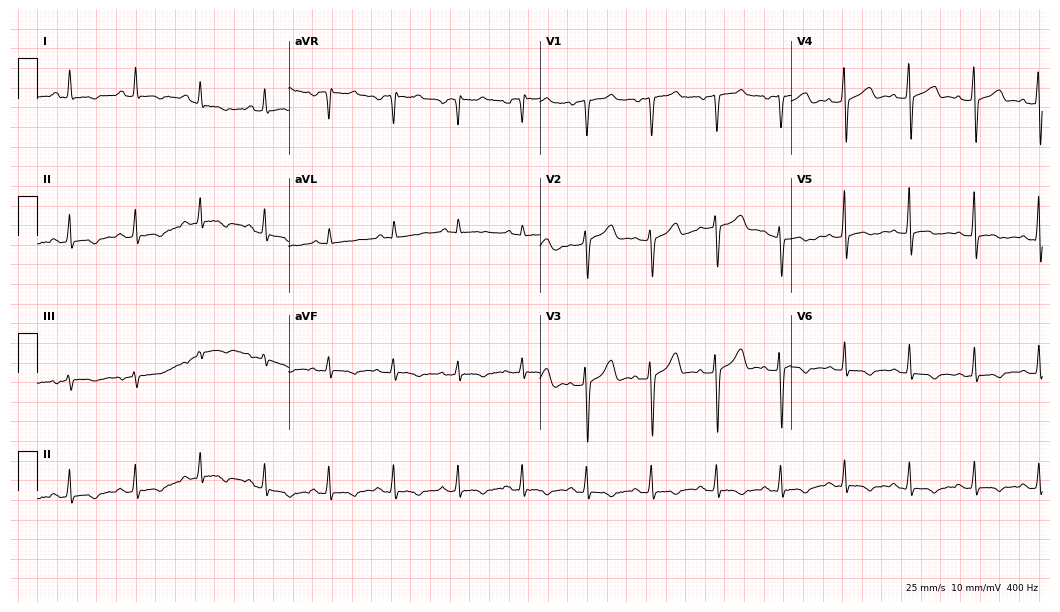
12-lead ECG from a 53-year-old woman (10.2-second recording at 400 Hz). Recorded interpretation: within normal limits.